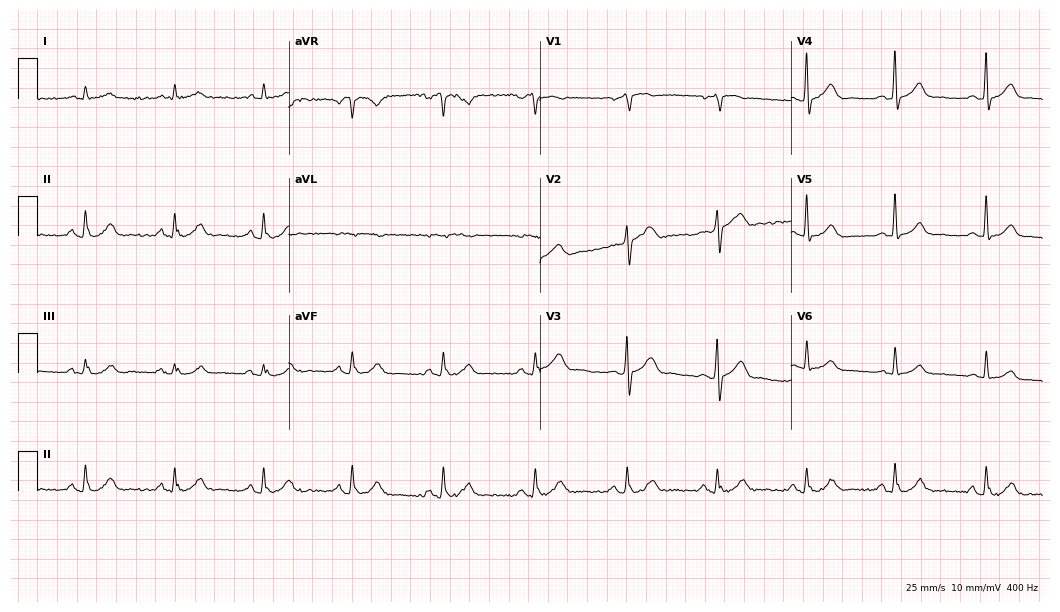
12-lead ECG from a 74-year-old male (10.2-second recording at 400 Hz). Recorded interpretation: within normal limits.